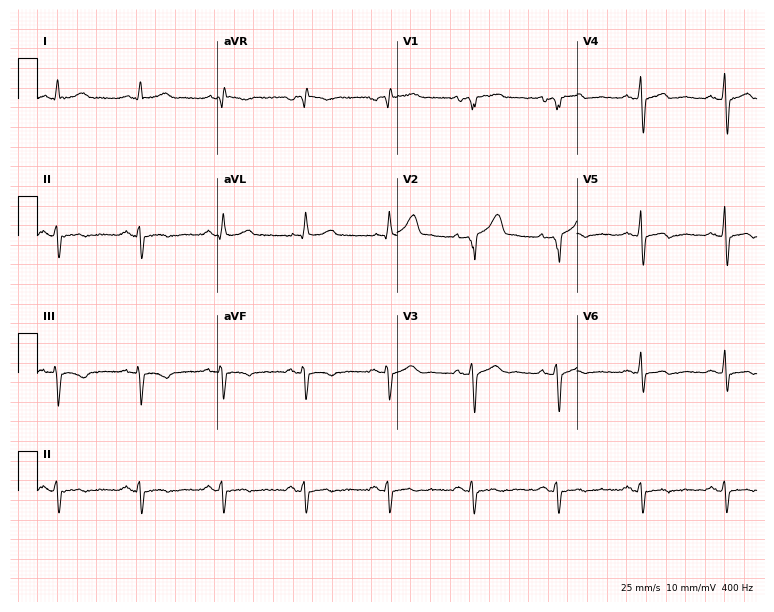
Resting 12-lead electrocardiogram (7.3-second recording at 400 Hz). Patient: a 60-year-old man. None of these six findings is recorded: first-degree AV block, right bundle branch block, left bundle branch block, sinus bradycardia, atrial fibrillation, sinus tachycardia. Findings outside these six are not listed.